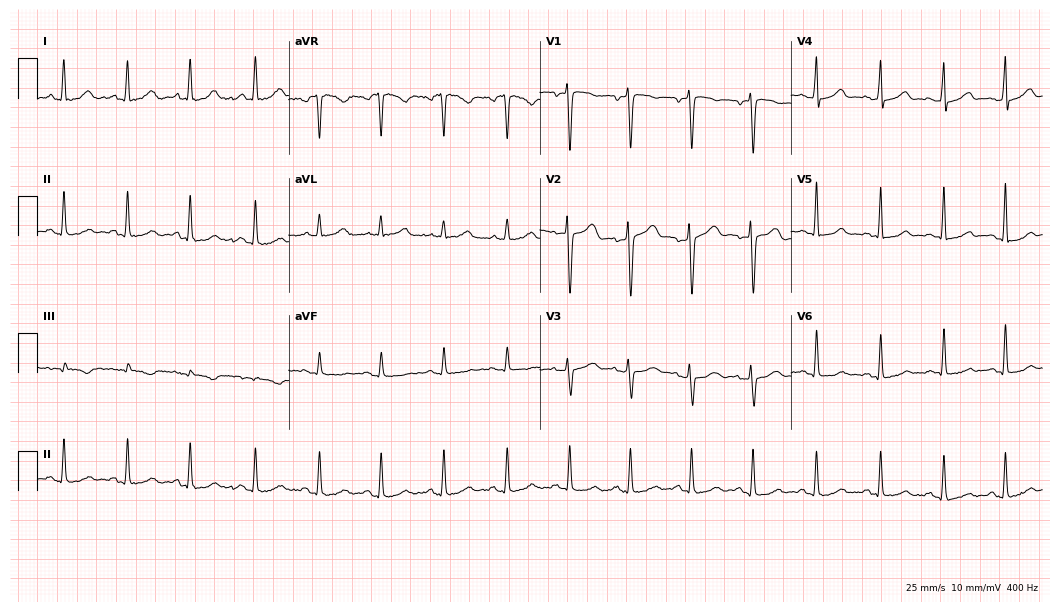
Standard 12-lead ECG recorded from a 51-year-old female. None of these six findings is recorded: first-degree AV block, right bundle branch block, left bundle branch block, sinus bradycardia, atrial fibrillation, sinus tachycardia.